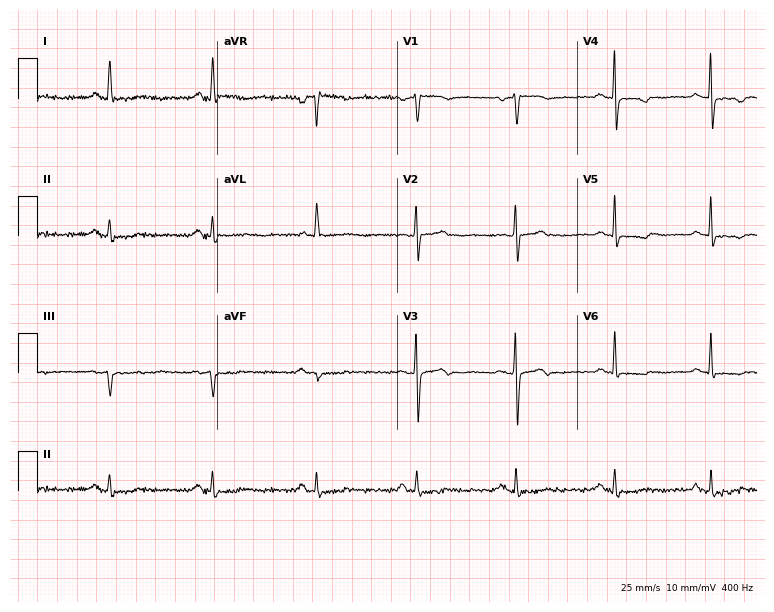
12-lead ECG from a 58-year-old female patient. No first-degree AV block, right bundle branch block, left bundle branch block, sinus bradycardia, atrial fibrillation or sinus tachycardia recorded for this tracing.